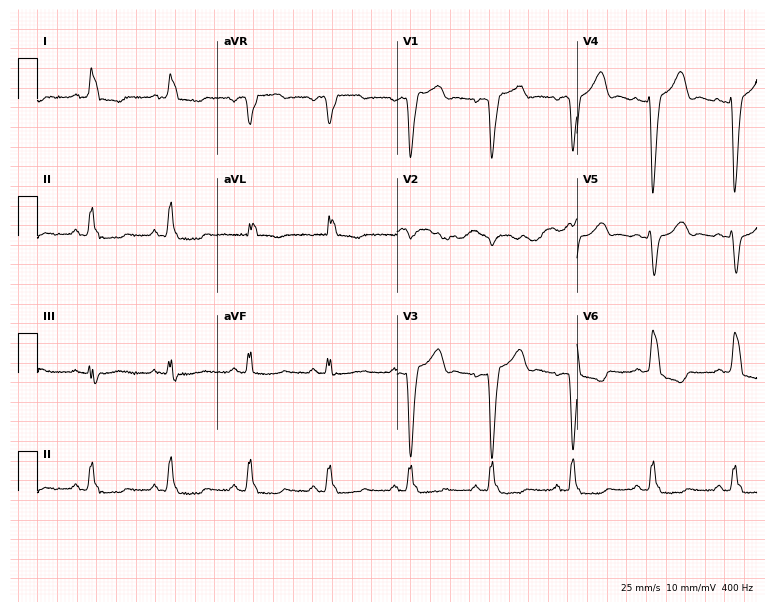
ECG — a 71-year-old female patient. Findings include left bundle branch block (LBBB).